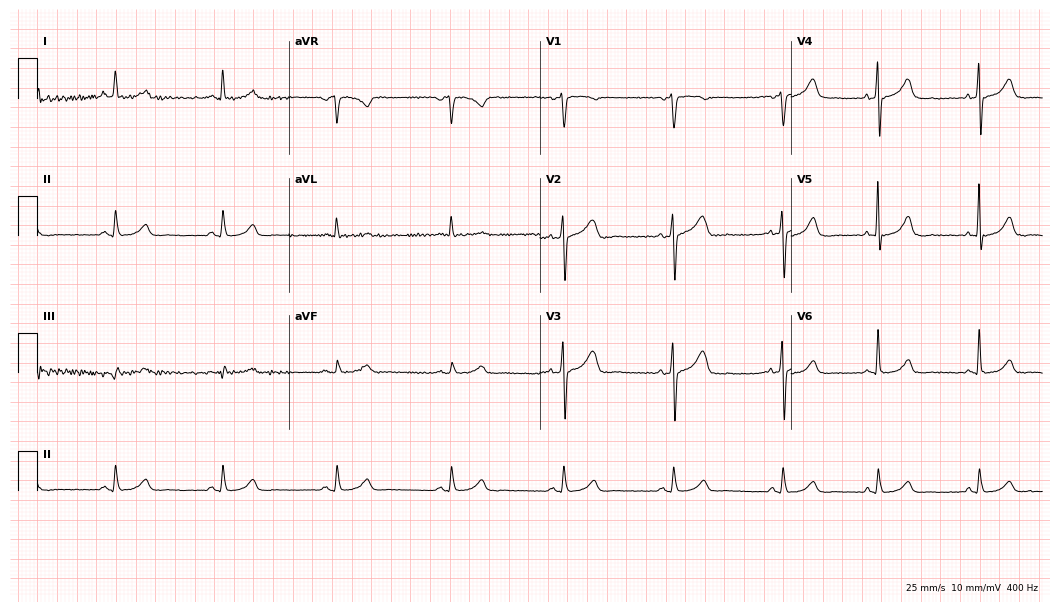
Electrocardiogram (10.2-second recording at 400 Hz), a 54-year-old woman. Overall reading on record: normal ECG.